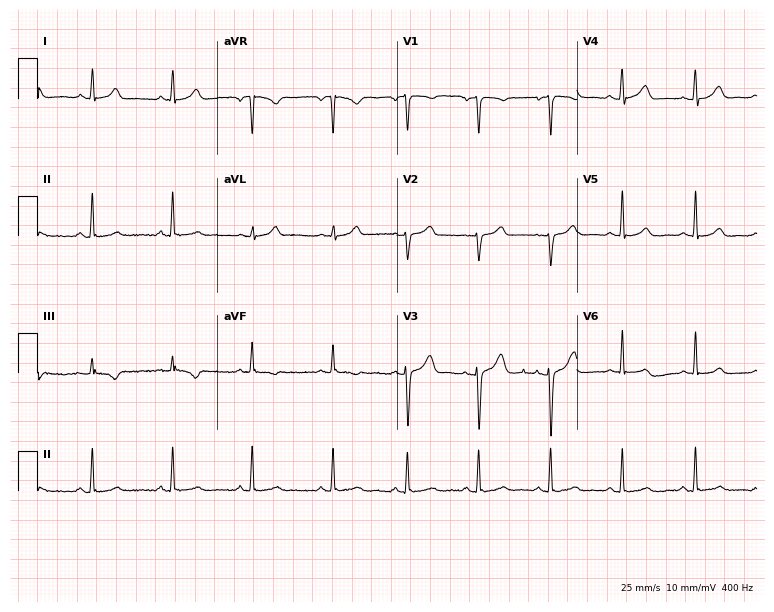
Resting 12-lead electrocardiogram. Patient: a 32-year-old female. Read as a normal ECG.